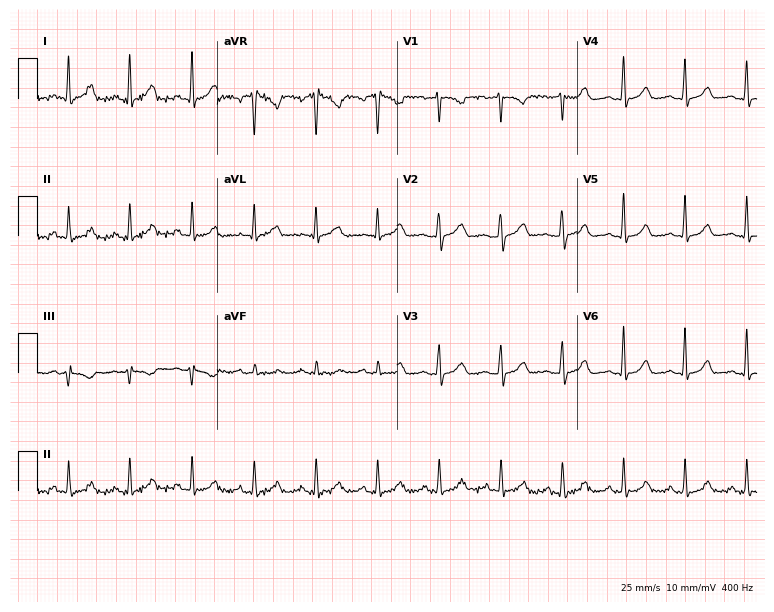
Electrocardiogram (7.3-second recording at 400 Hz), a 37-year-old female. Overall reading on record: normal ECG.